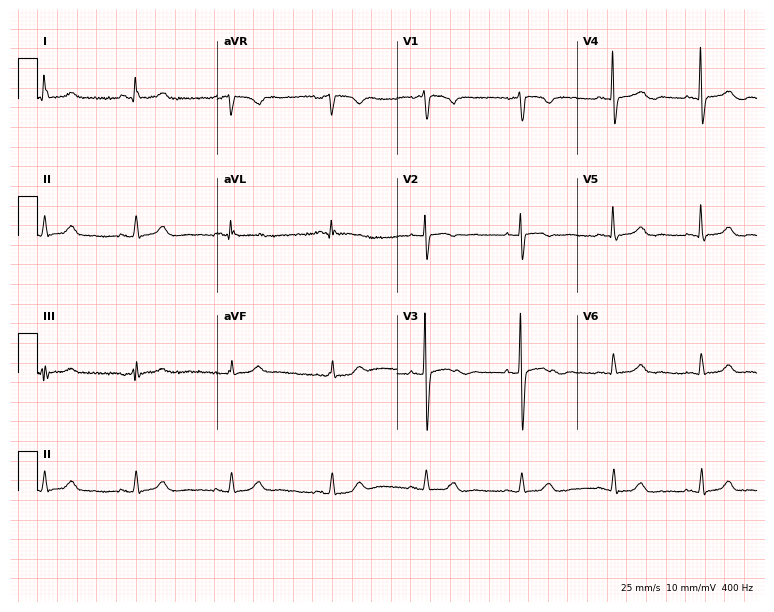
12-lead ECG from a 62-year-old female (7.3-second recording at 400 Hz). Recorded interpretation: within normal limits.